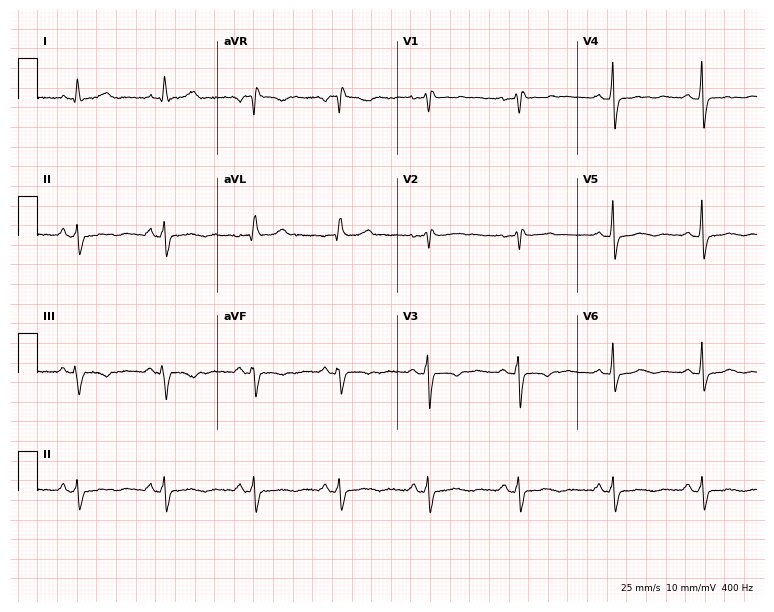
12-lead ECG from a 51-year-old woman (7.3-second recording at 400 Hz). Shows right bundle branch block.